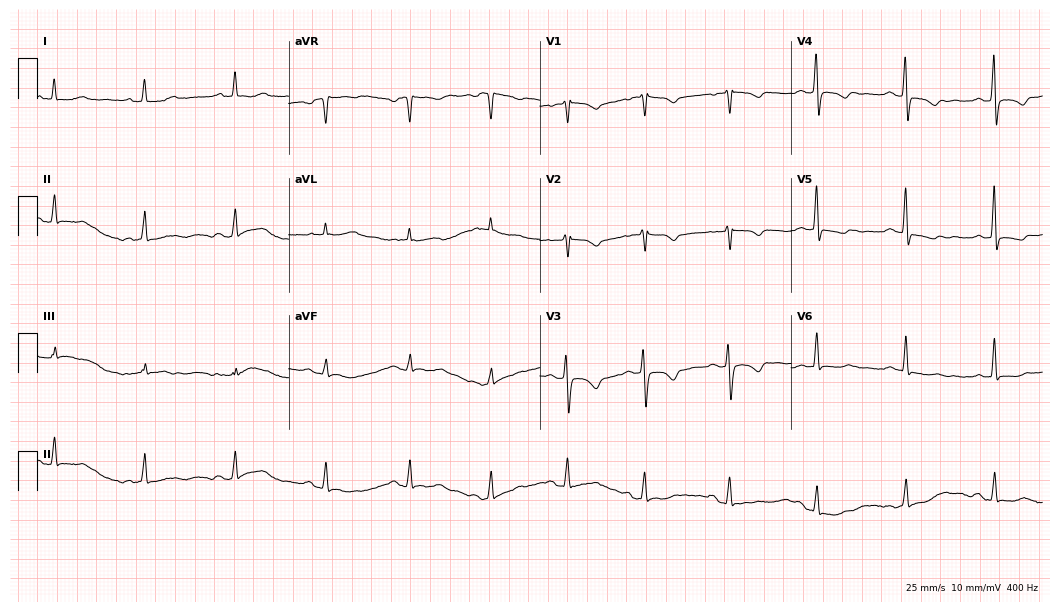
Standard 12-lead ECG recorded from a 70-year-old female (10.2-second recording at 400 Hz). None of these six findings is recorded: first-degree AV block, right bundle branch block, left bundle branch block, sinus bradycardia, atrial fibrillation, sinus tachycardia.